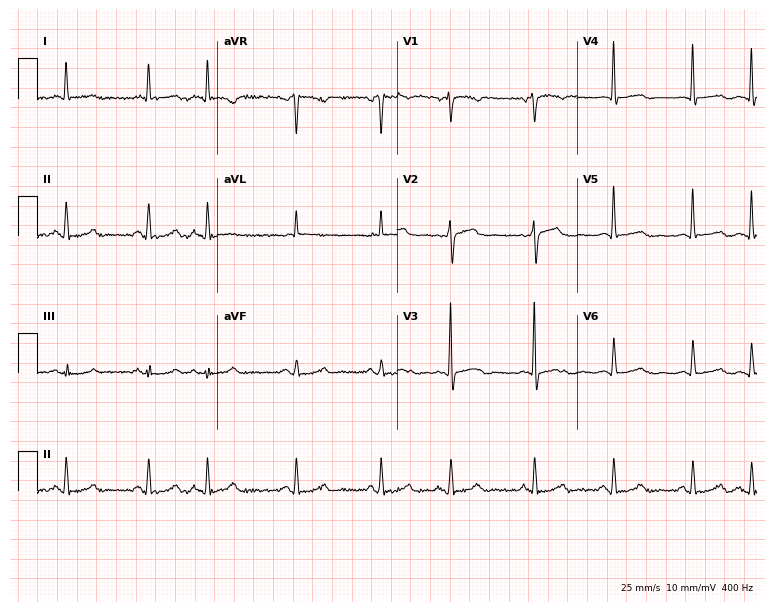
12-lead ECG from a man, 78 years old (7.3-second recording at 400 Hz). No first-degree AV block, right bundle branch block, left bundle branch block, sinus bradycardia, atrial fibrillation or sinus tachycardia recorded for this tracing.